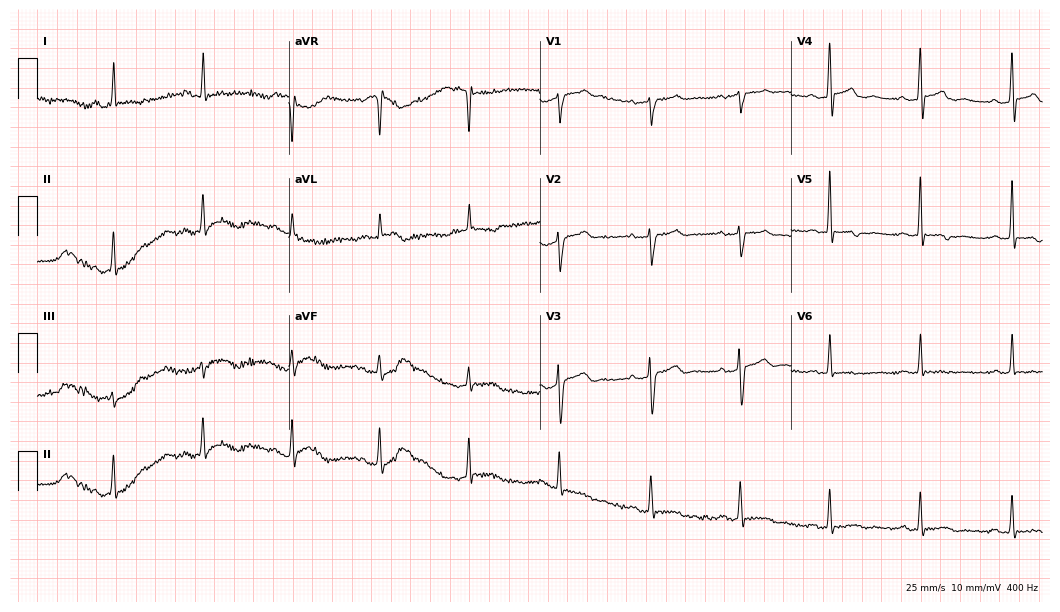
Resting 12-lead electrocardiogram. Patient: a male, 57 years old. None of these six findings is recorded: first-degree AV block, right bundle branch block, left bundle branch block, sinus bradycardia, atrial fibrillation, sinus tachycardia.